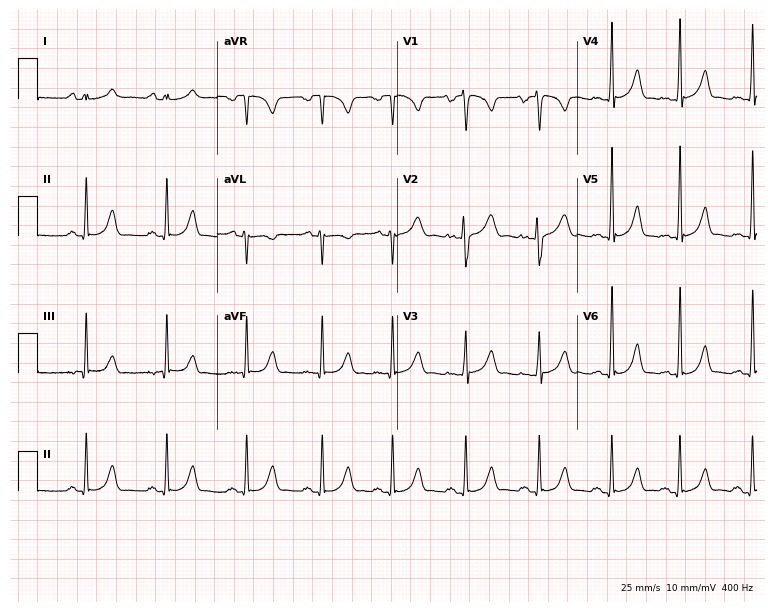
Standard 12-lead ECG recorded from a female, 17 years old. Read as a normal ECG.